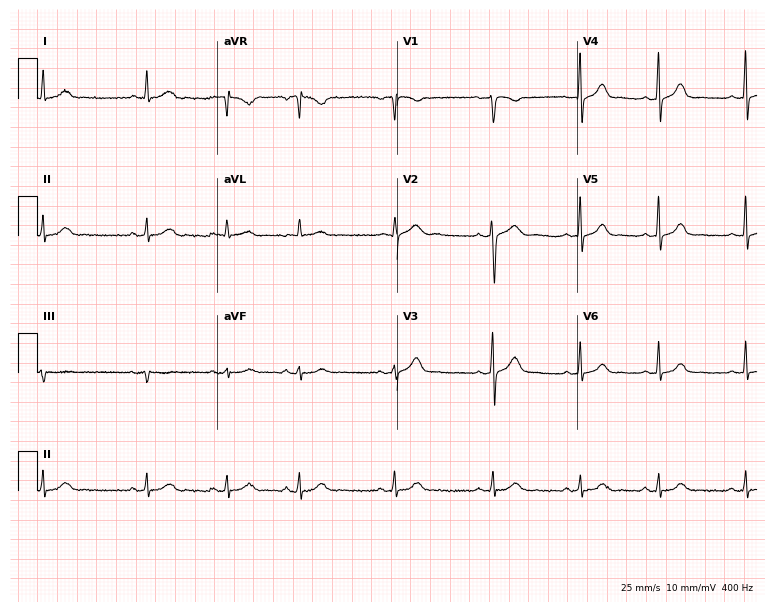
12-lead ECG from a female patient, 35 years old (7.3-second recording at 400 Hz). Recorded interpretation: within normal limits.